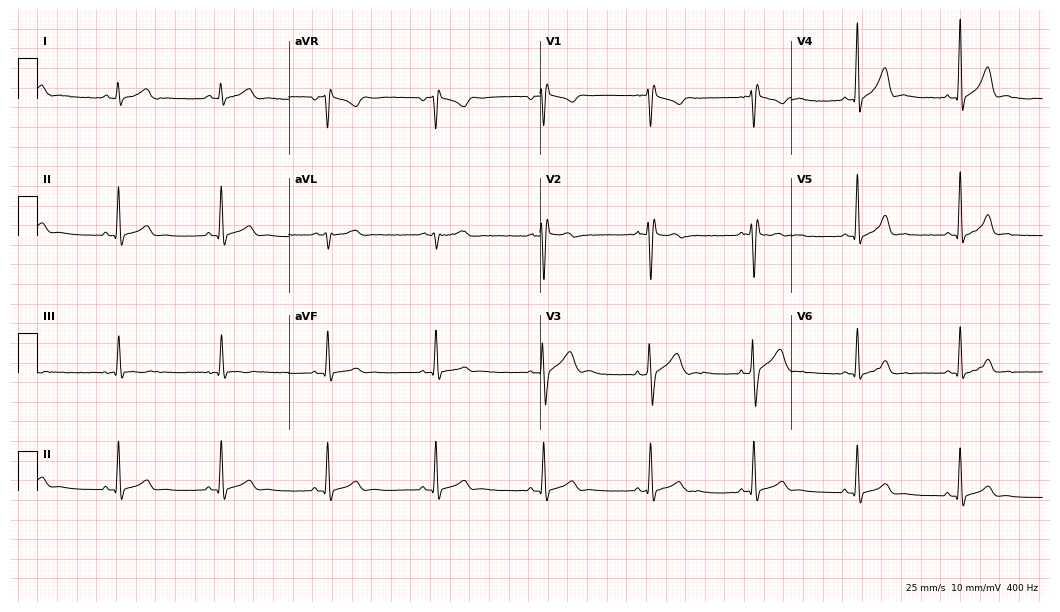
Resting 12-lead electrocardiogram (10.2-second recording at 400 Hz). Patient: a man, 22 years old. None of these six findings is recorded: first-degree AV block, right bundle branch block, left bundle branch block, sinus bradycardia, atrial fibrillation, sinus tachycardia.